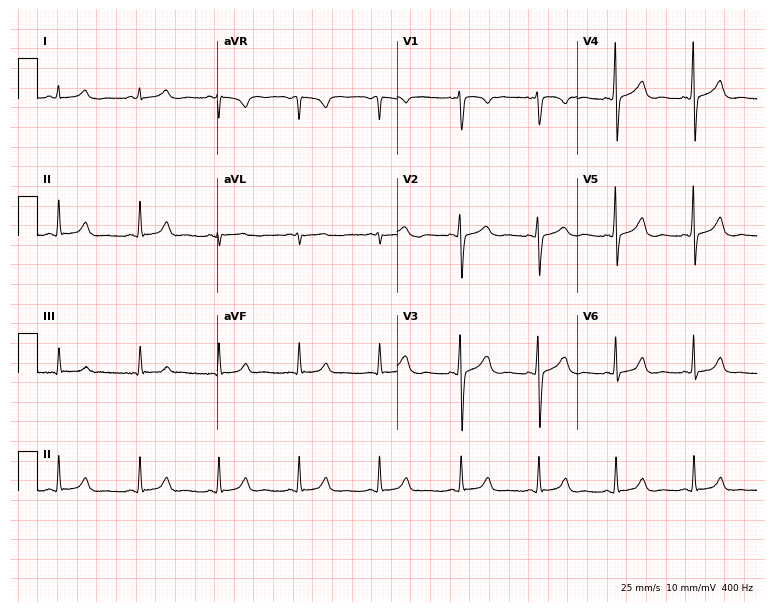
12-lead ECG from a woman, 26 years old. No first-degree AV block, right bundle branch block, left bundle branch block, sinus bradycardia, atrial fibrillation or sinus tachycardia recorded for this tracing.